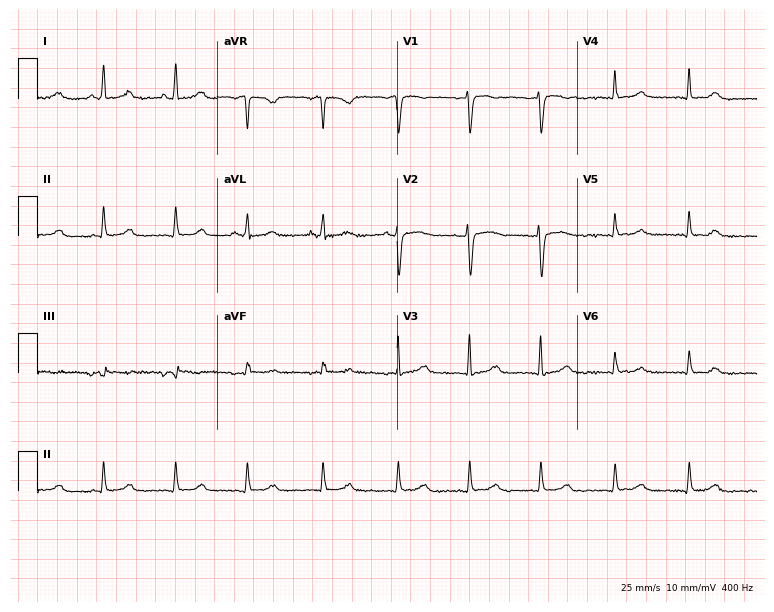
ECG — a 55-year-old woman. Labelled as a normal ECG.